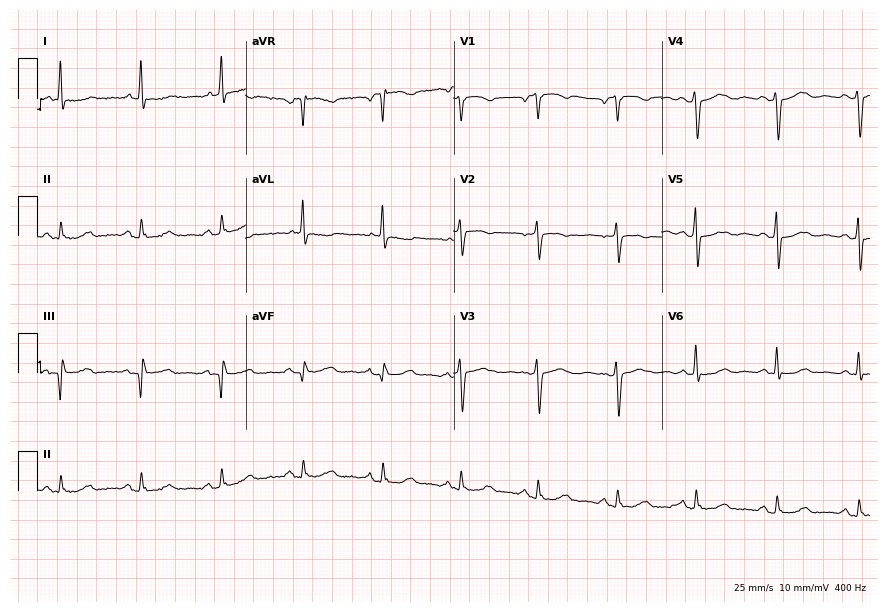
12-lead ECG (8.5-second recording at 400 Hz) from a 64-year-old male patient. Screened for six findings — first-degree AV block, right bundle branch block, left bundle branch block, sinus bradycardia, atrial fibrillation, sinus tachycardia — none is recorded. Other findings, if any, are not listed.